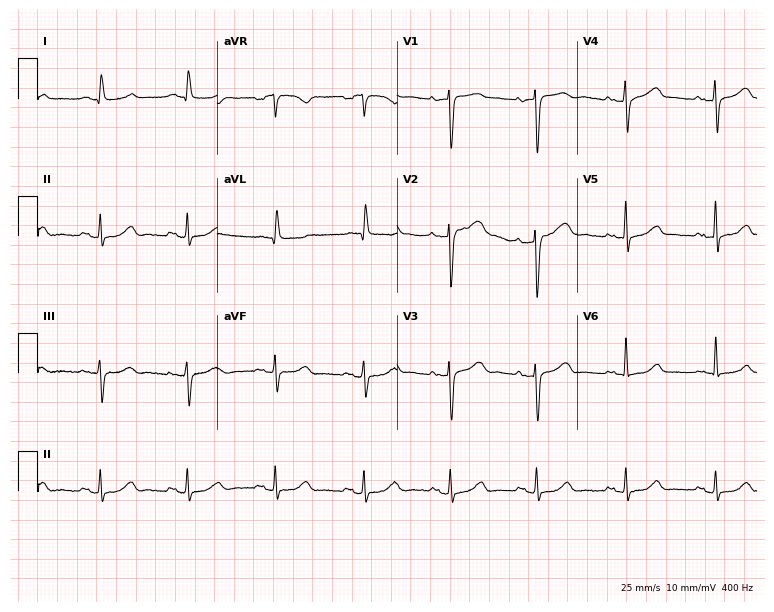
ECG (7.3-second recording at 400 Hz) — an 81-year-old female patient. Labelled as a normal ECG.